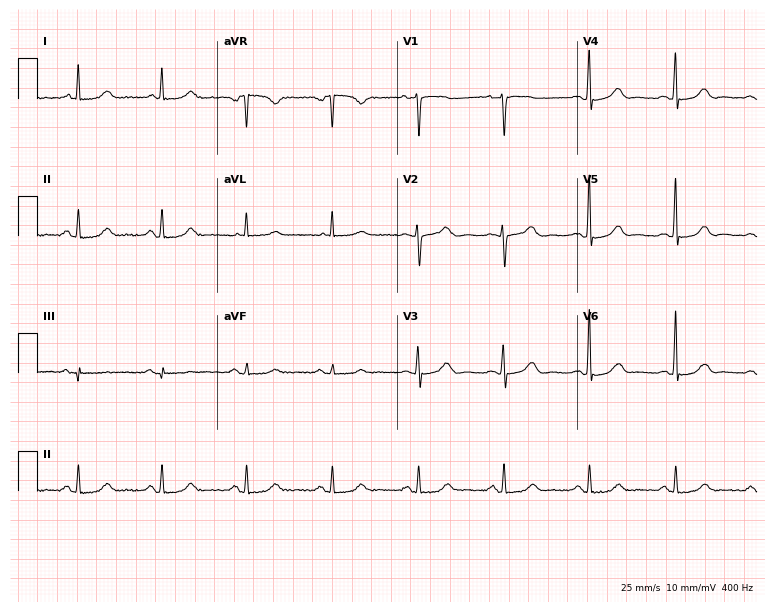
12-lead ECG (7.3-second recording at 400 Hz) from a 54-year-old woman. Screened for six findings — first-degree AV block, right bundle branch block, left bundle branch block, sinus bradycardia, atrial fibrillation, sinus tachycardia — none is recorded. Other findings, if any, are not listed.